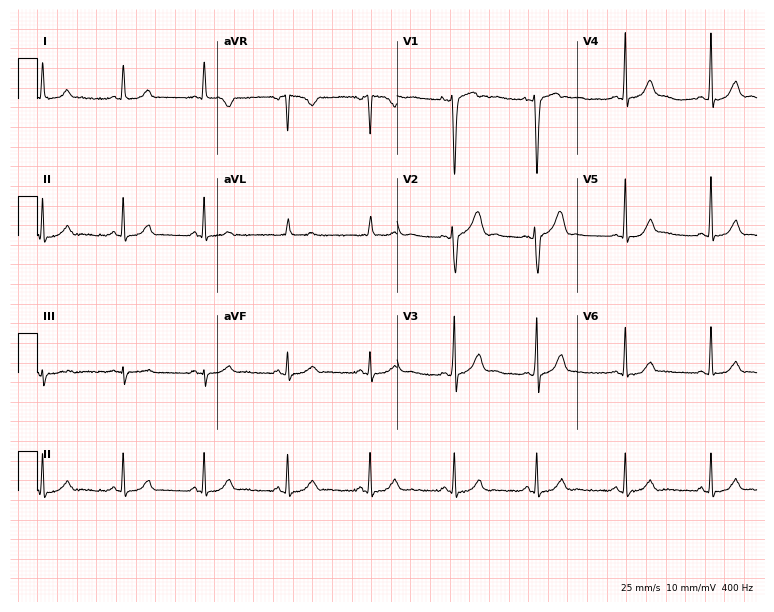
12-lead ECG from a woman, 25 years old (7.3-second recording at 400 Hz). No first-degree AV block, right bundle branch block, left bundle branch block, sinus bradycardia, atrial fibrillation or sinus tachycardia recorded for this tracing. Only these six findings were labelled.